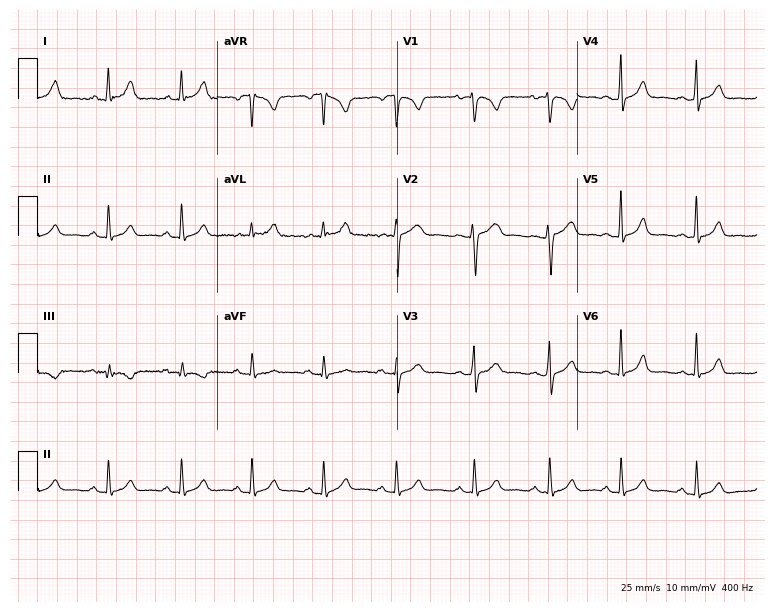
Electrocardiogram (7.3-second recording at 400 Hz), a 27-year-old female. Overall reading on record: normal ECG.